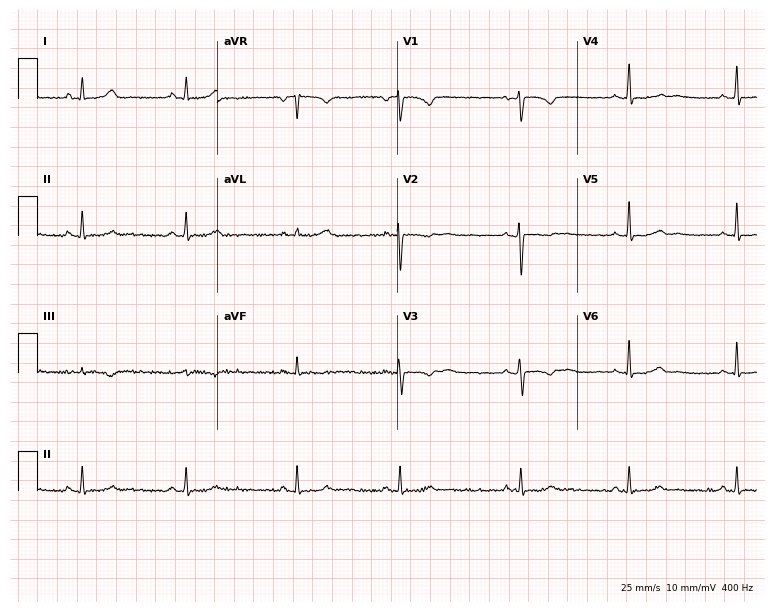
Electrocardiogram, a 37-year-old female. Of the six screened findings (first-degree AV block, right bundle branch block, left bundle branch block, sinus bradycardia, atrial fibrillation, sinus tachycardia), none is recorded. Findings outside these six are not listed.